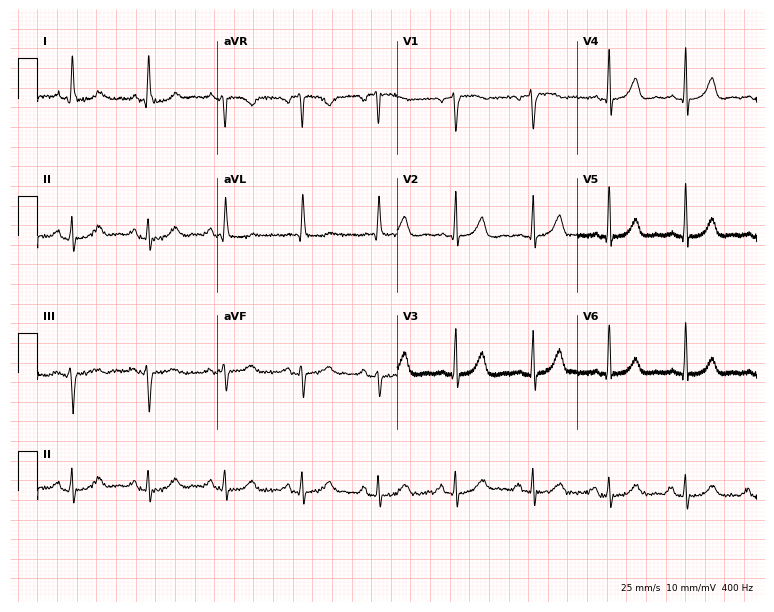
12-lead ECG from a woman, 65 years old. Labelled as a normal ECG.